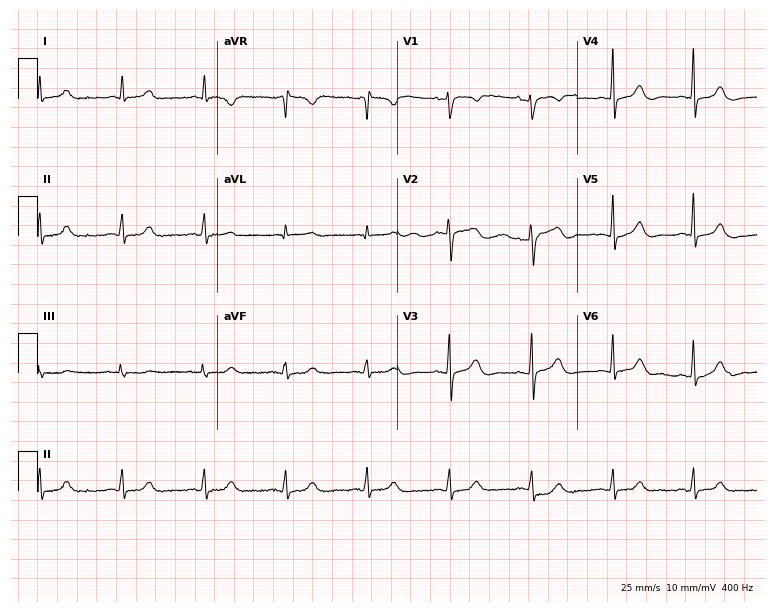
12-lead ECG from a woman, 52 years old. Recorded interpretation: within normal limits.